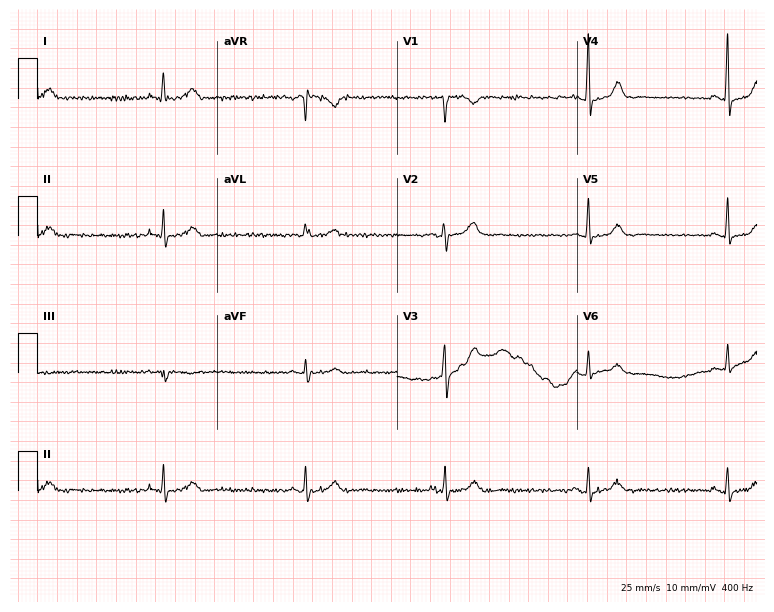
Electrocardiogram, a 59-year-old female patient. Interpretation includes sinus bradycardia (a sinus rate of 50 beats per minute or less).